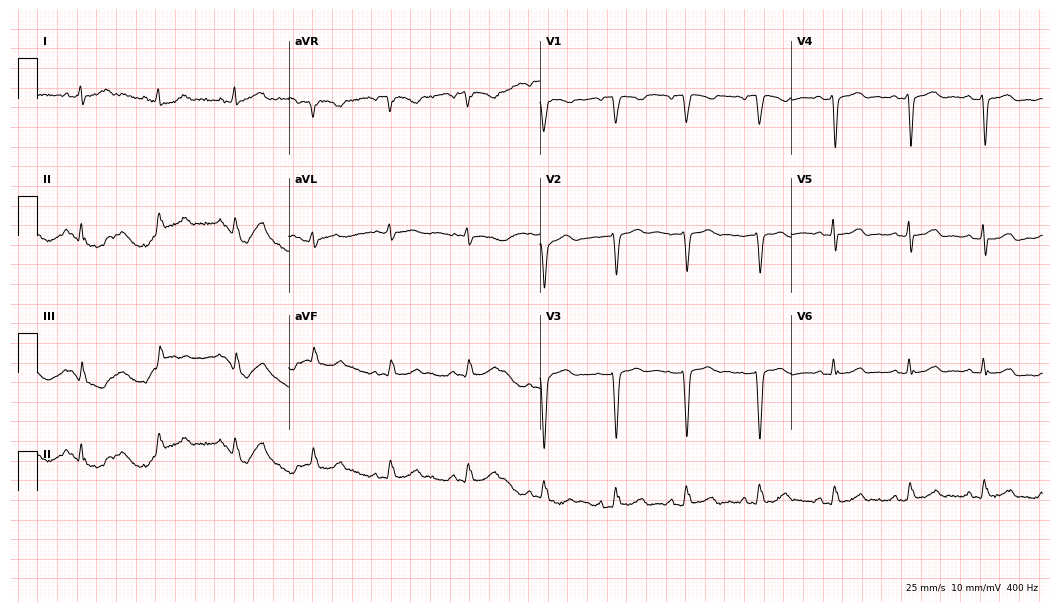
12-lead ECG from a female patient, 45 years old. Screened for six findings — first-degree AV block, right bundle branch block, left bundle branch block, sinus bradycardia, atrial fibrillation, sinus tachycardia — none is recorded.